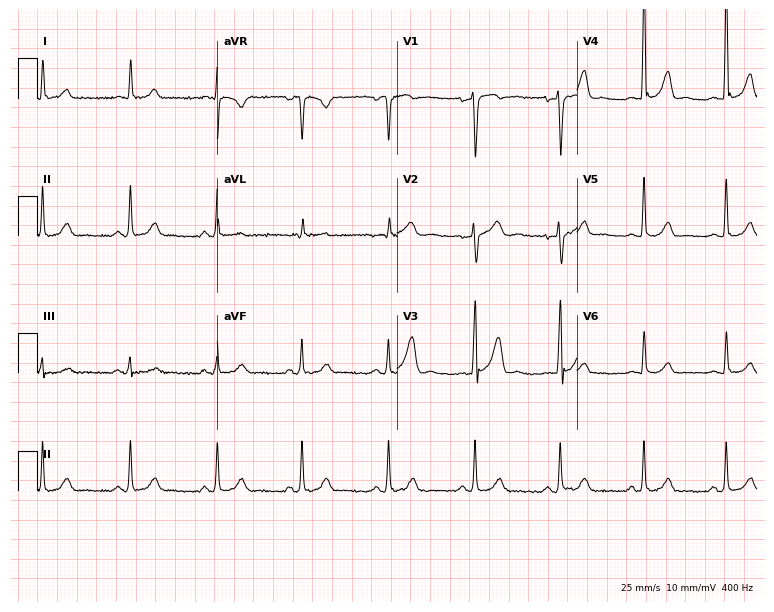
12-lead ECG from a male patient, 38 years old (7.3-second recording at 400 Hz). Recorded interpretation: within normal limits.